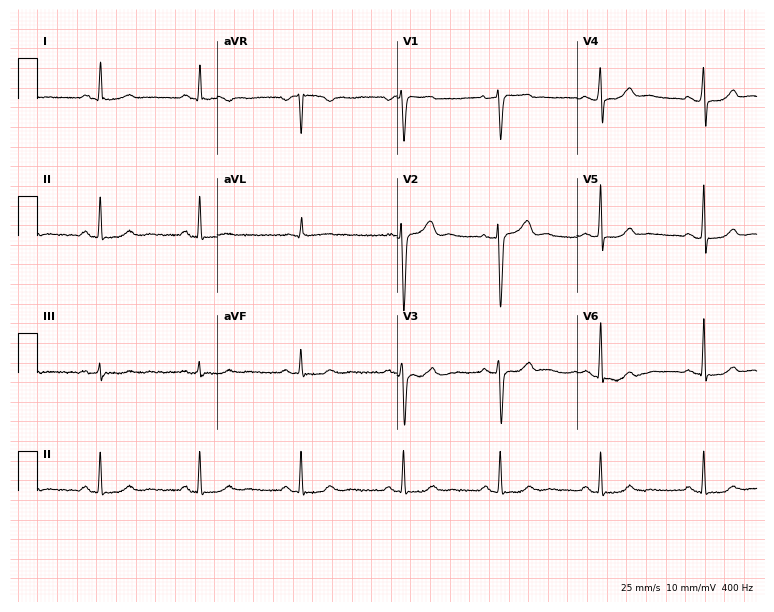
12-lead ECG from a woman, 35 years old. Recorded interpretation: within normal limits.